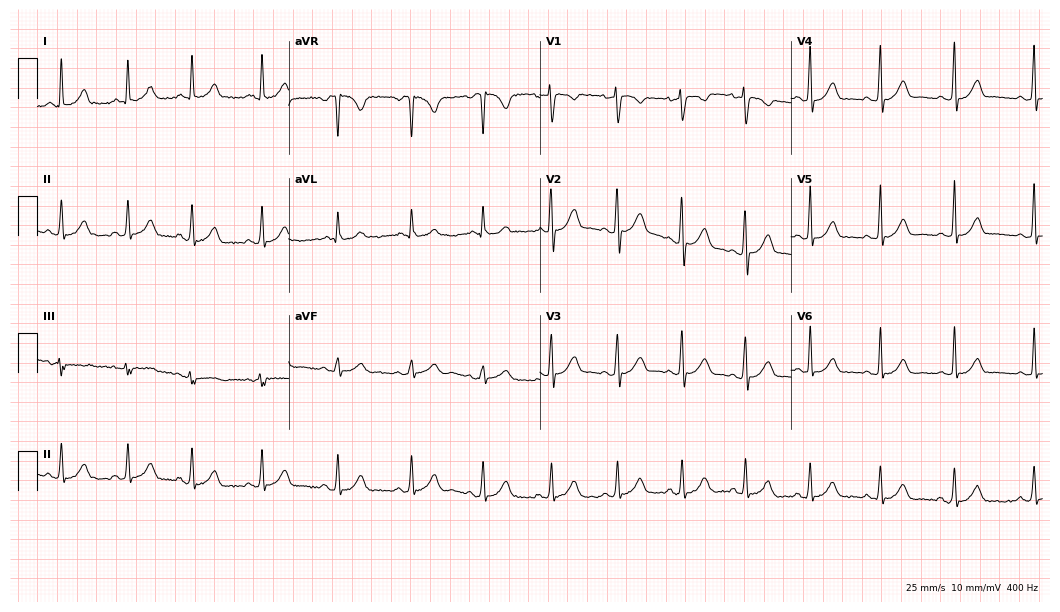
Electrocardiogram (10.2-second recording at 400 Hz), a 17-year-old woman. Overall reading on record: normal ECG.